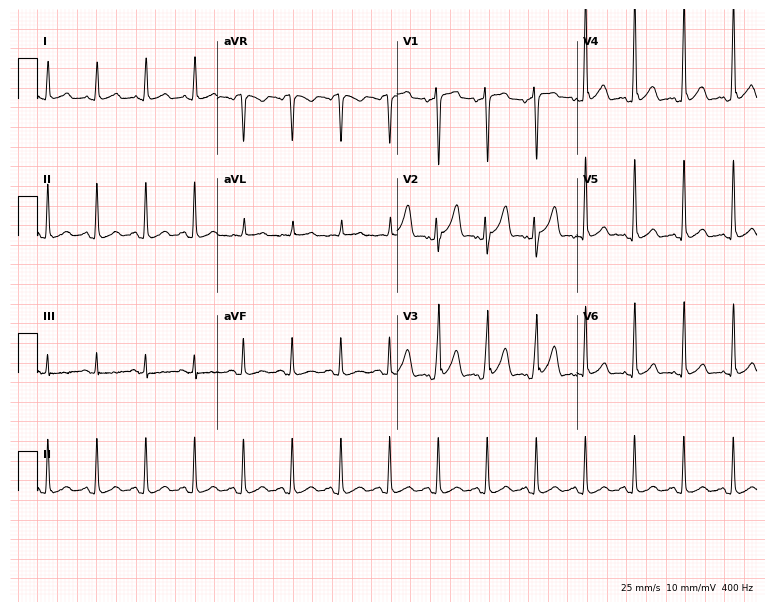
Electrocardiogram (7.3-second recording at 400 Hz), a male, 54 years old. Of the six screened findings (first-degree AV block, right bundle branch block (RBBB), left bundle branch block (LBBB), sinus bradycardia, atrial fibrillation (AF), sinus tachycardia), none is recorded.